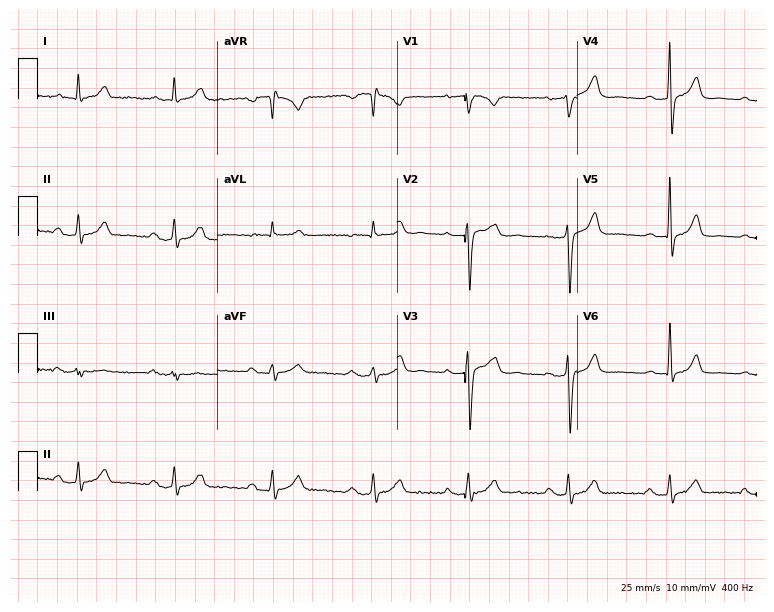
12-lead ECG from a man, 43 years old. Screened for six findings — first-degree AV block, right bundle branch block, left bundle branch block, sinus bradycardia, atrial fibrillation, sinus tachycardia — none is recorded. Findings outside these six are not listed.